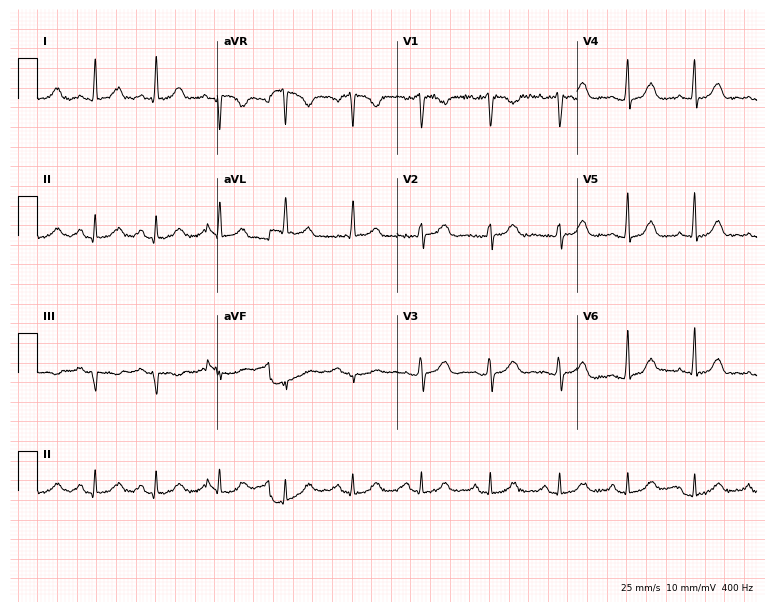
ECG — a 37-year-old woman. Labelled as a normal ECG.